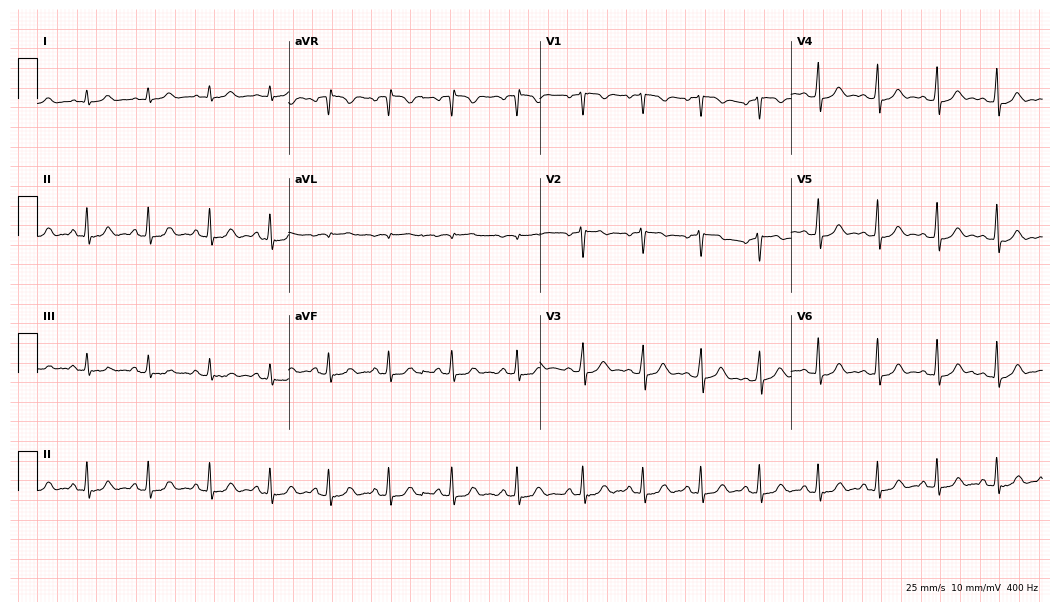
Standard 12-lead ECG recorded from a female, 24 years old (10.2-second recording at 400 Hz). Read as a normal ECG.